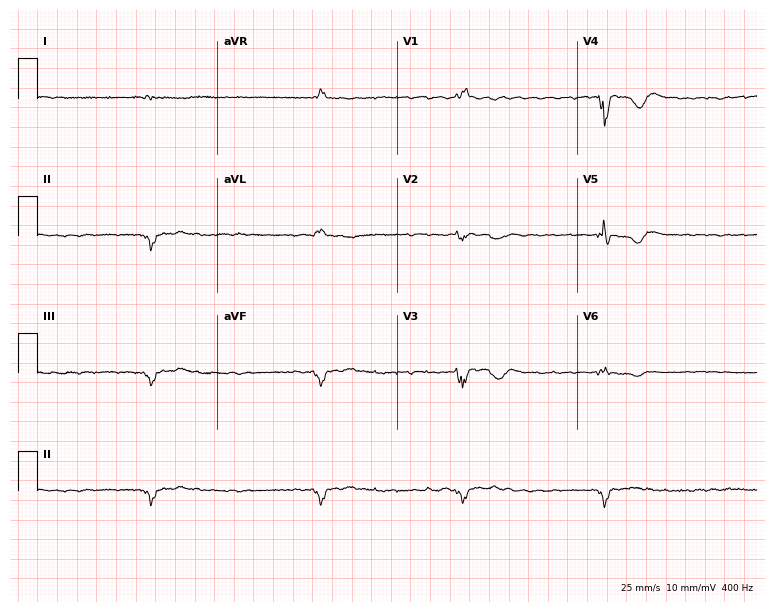
12-lead ECG from a 71-year-old man (7.3-second recording at 400 Hz). Shows right bundle branch block, atrial fibrillation.